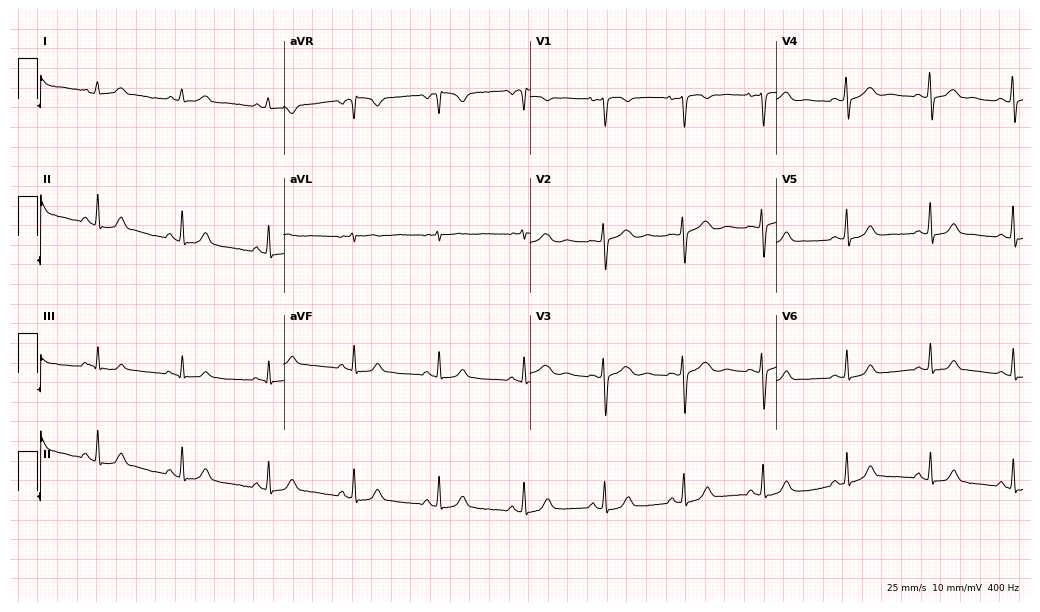
12-lead ECG from a female, 45 years old (10-second recording at 400 Hz). Recorded interpretation: within normal limits.